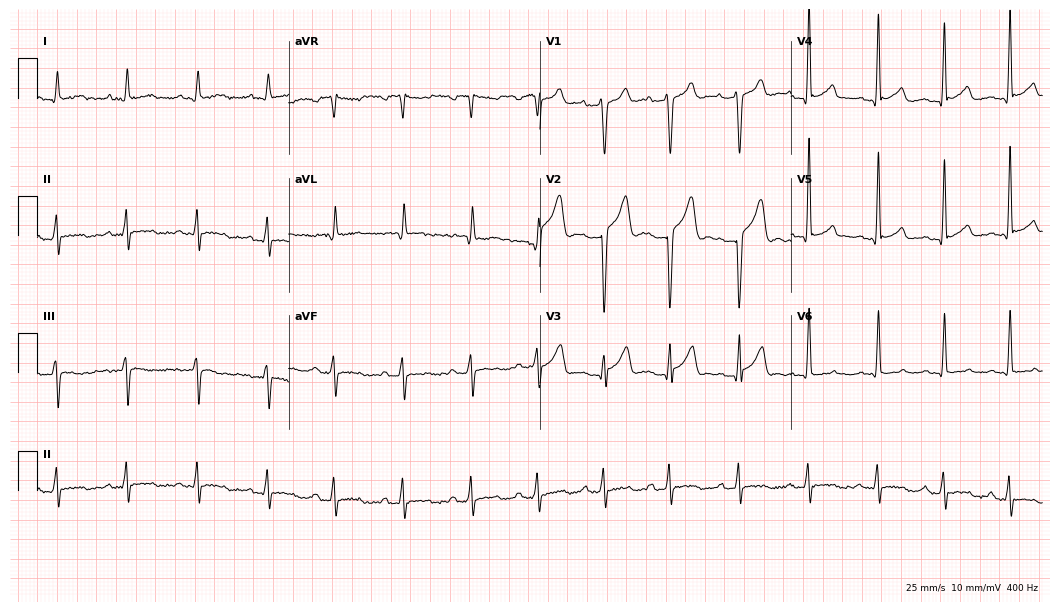
12-lead ECG from a 44-year-old male (10.2-second recording at 400 Hz). No first-degree AV block, right bundle branch block (RBBB), left bundle branch block (LBBB), sinus bradycardia, atrial fibrillation (AF) or sinus tachycardia recorded for this tracing.